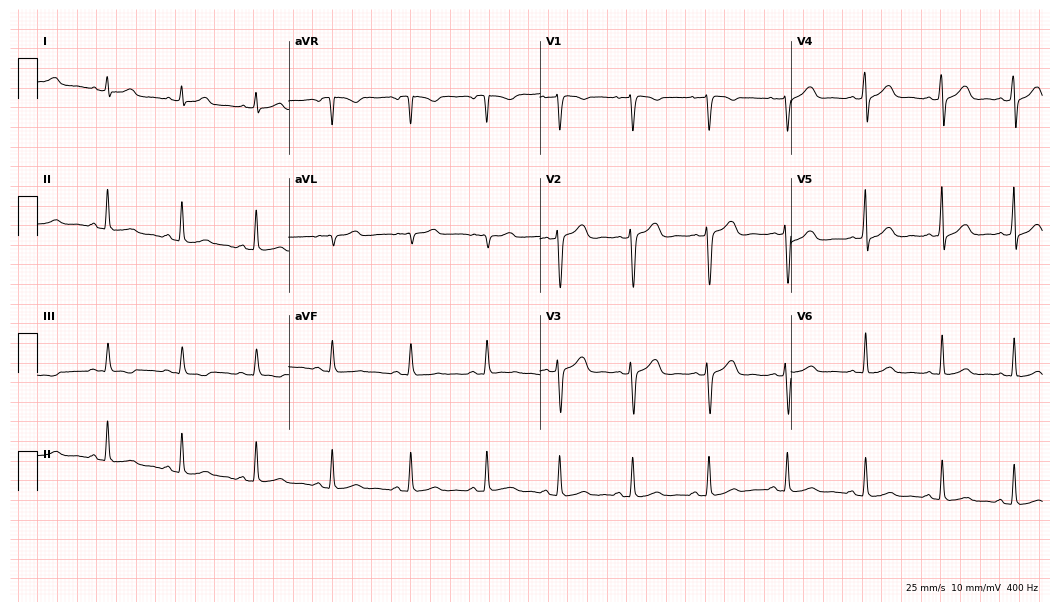
ECG (10.2-second recording at 400 Hz) — a female, 44 years old. Labelled as a normal ECG.